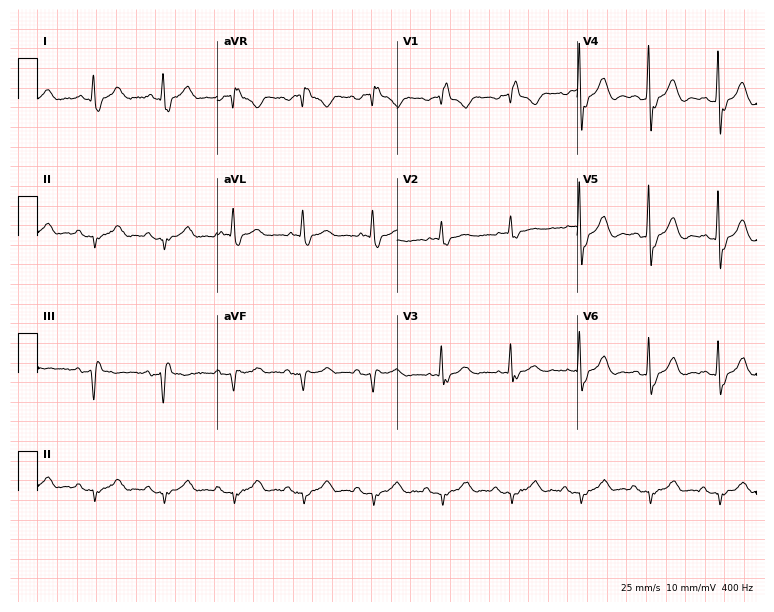
12-lead ECG (7.3-second recording at 400 Hz) from a 71-year-old male patient. Findings include right bundle branch block.